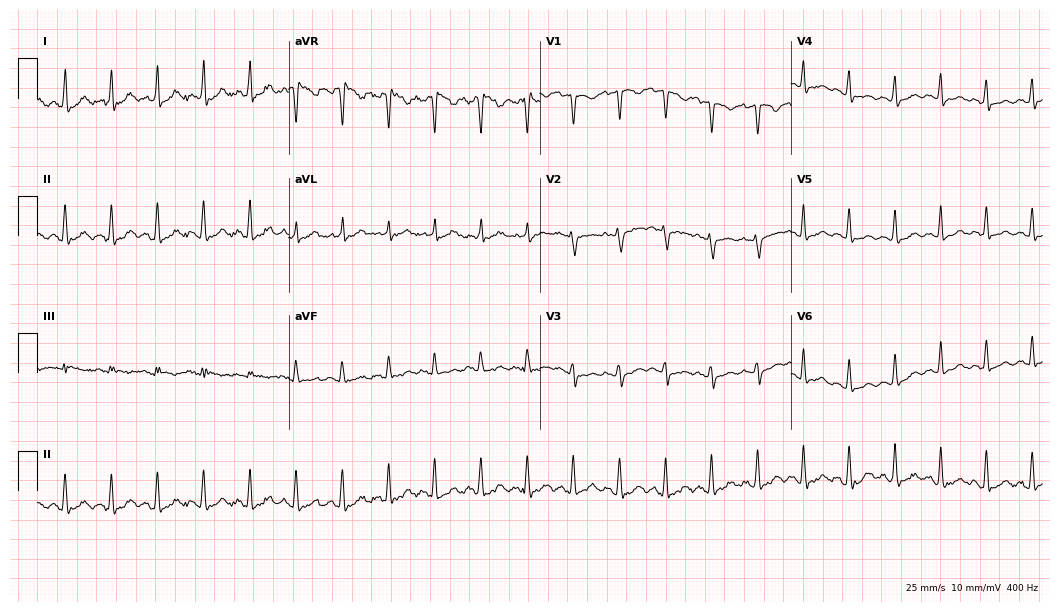
Electrocardiogram (10.2-second recording at 400 Hz), a female, 34 years old. Interpretation includes sinus tachycardia (a sinus rate of 100 beats per minute or more).